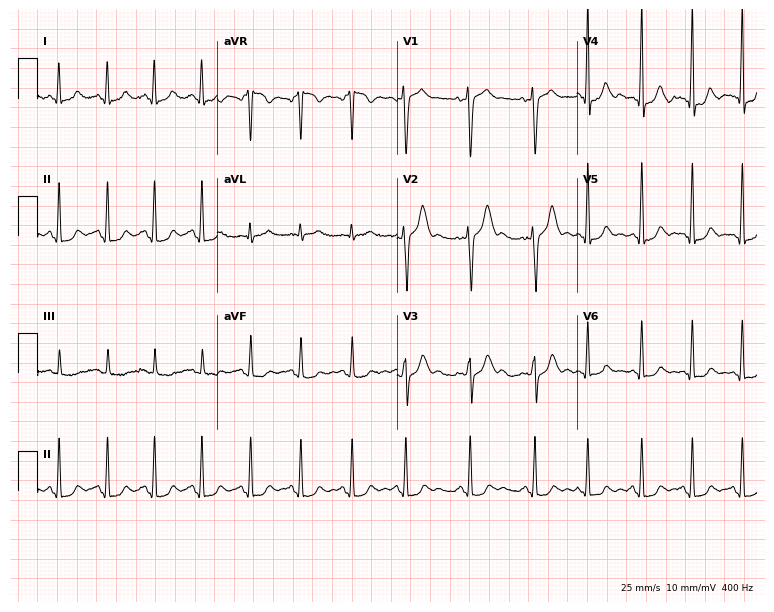
Resting 12-lead electrocardiogram. Patient: a 39-year-old woman. The tracing shows sinus tachycardia (a sinus rate of 100 beats per minute or more).